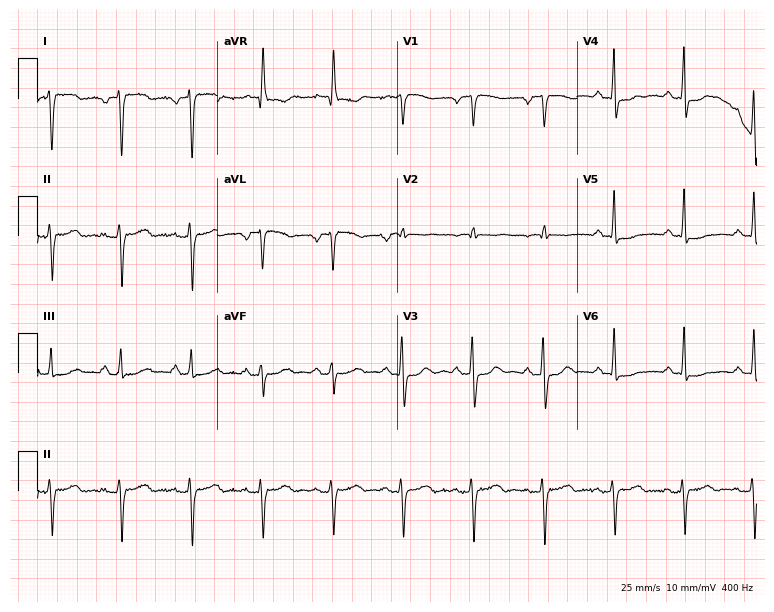
Electrocardiogram (7.3-second recording at 400 Hz), a female, 74 years old. Of the six screened findings (first-degree AV block, right bundle branch block, left bundle branch block, sinus bradycardia, atrial fibrillation, sinus tachycardia), none is recorded.